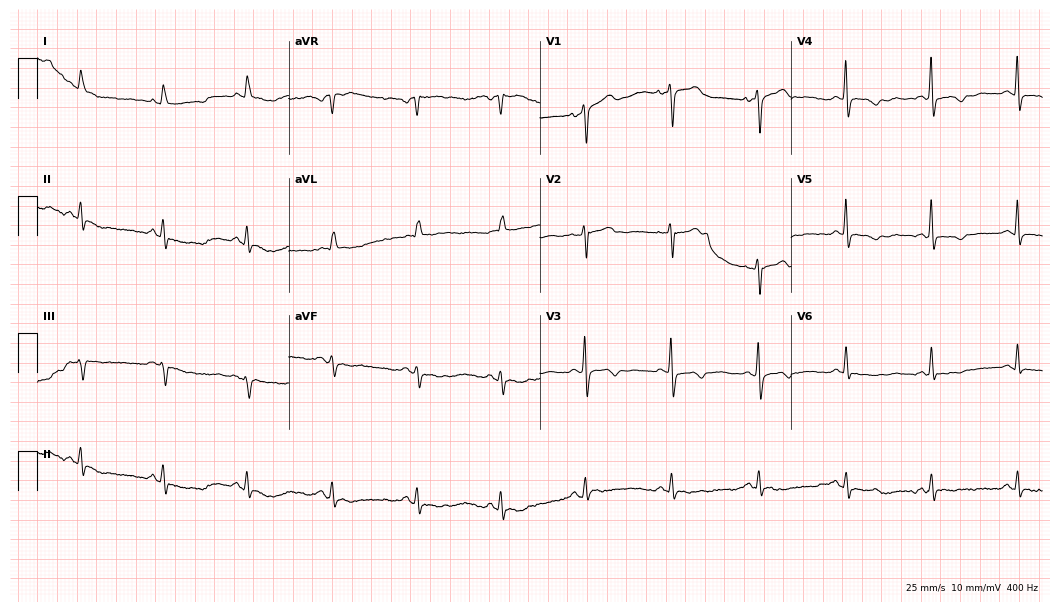
ECG (10.2-second recording at 400 Hz) — a 72-year-old woman. Screened for six findings — first-degree AV block, right bundle branch block, left bundle branch block, sinus bradycardia, atrial fibrillation, sinus tachycardia — none is recorded. Other findings, if any, are not listed.